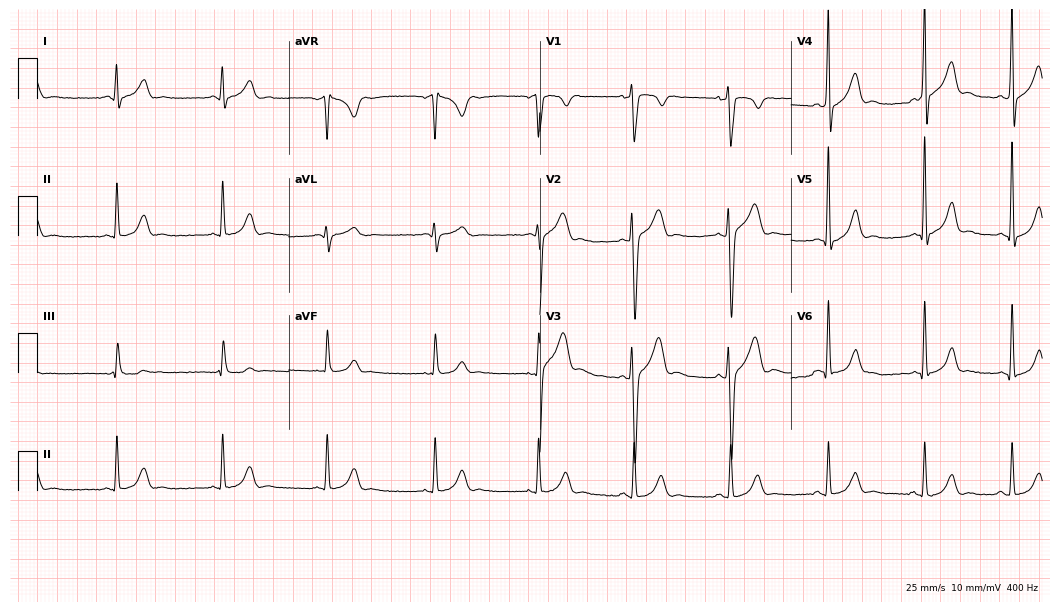
12-lead ECG from a 22-year-old male patient (10.2-second recording at 400 Hz). No first-degree AV block, right bundle branch block, left bundle branch block, sinus bradycardia, atrial fibrillation or sinus tachycardia recorded for this tracing. Findings outside these six are not listed.